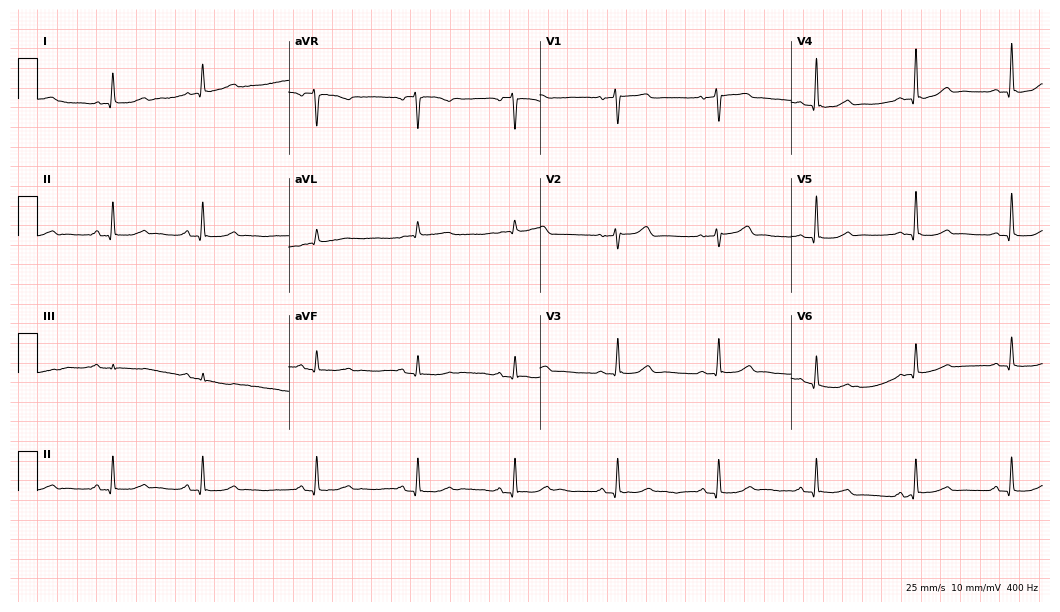
Standard 12-lead ECG recorded from a woman, 80 years old (10.2-second recording at 400 Hz). None of these six findings is recorded: first-degree AV block, right bundle branch block (RBBB), left bundle branch block (LBBB), sinus bradycardia, atrial fibrillation (AF), sinus tachycardia.